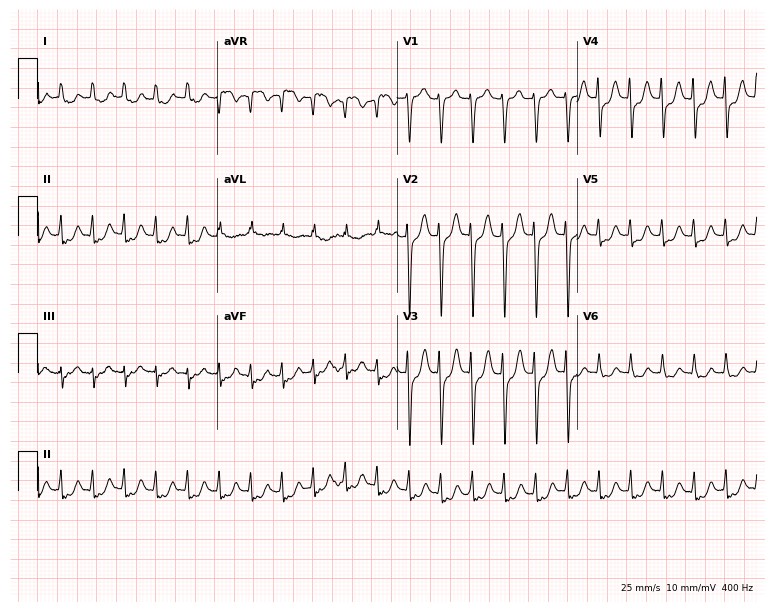
Standard 12-lead ECG recorded from a female patient, 57 years old (7.3-second recording at 400 Hz). The tracing shows sinus tachycardia (a sinus rate of 100 beats per minute or more).